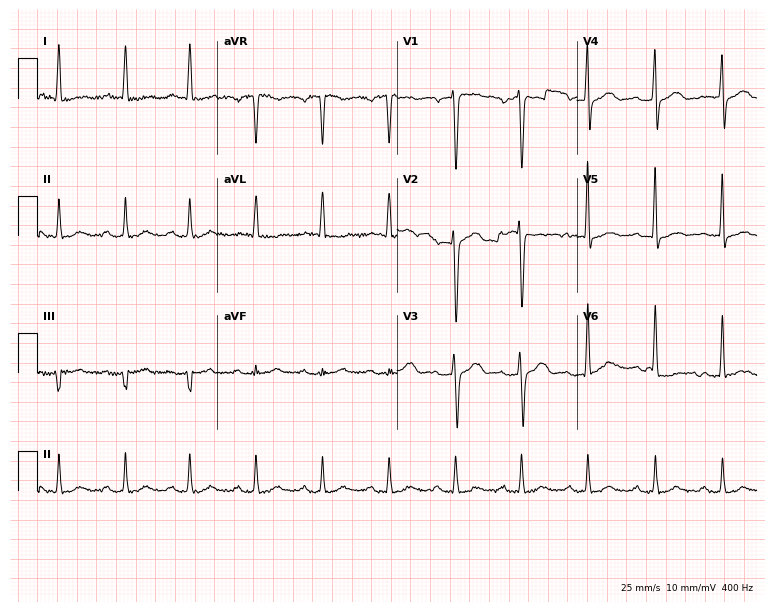
Resting 12-lead electrocardiogram. Patient: a male, 51 years old. The tracing shows first-degree AV block.